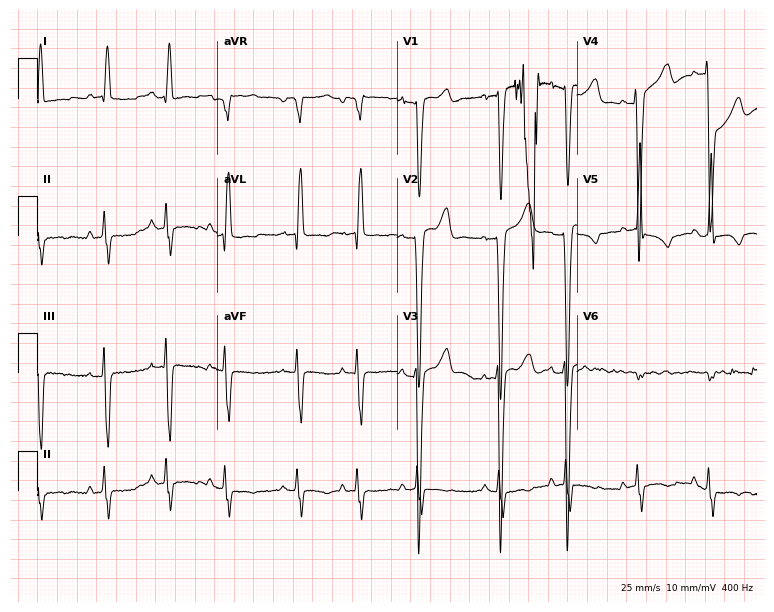
Resting 12-lead electrocardiogram (7.3-second recording at 400 Hz). Patient: an 81-year-old female. None of these six findings is recorded: first-degree AV block, right bundle branch block, left bundle branch block, sinus bradycardia, atrial fibrillation, sinus tachycardia. Only these six findings were labelled.